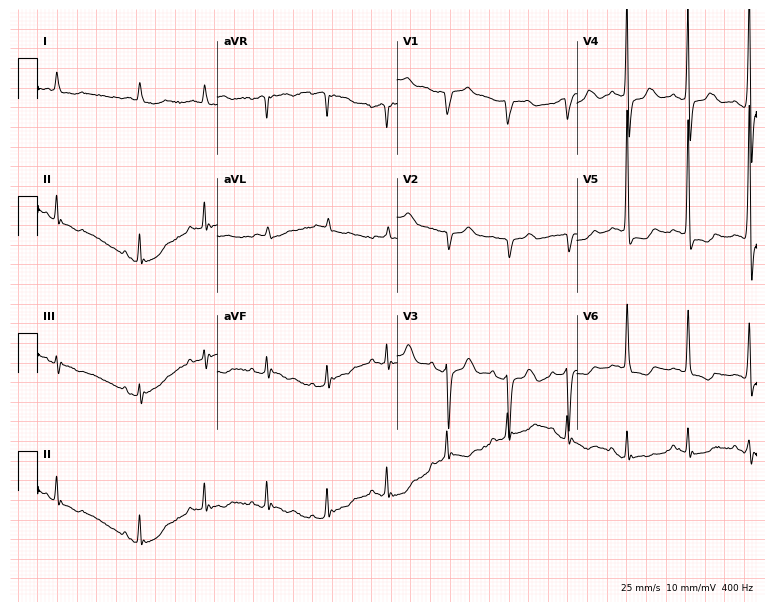
Electrocardiogram, a female patient, 79 years old. Of the six screened findings (first-degree AV block, right bundle branch block (RBBB), left bundle branch block (LBBB), sinus bradycardia, atrial fibrillation (AF), sinus tachycardia), none is recorded. Findings outside these six are not listed.